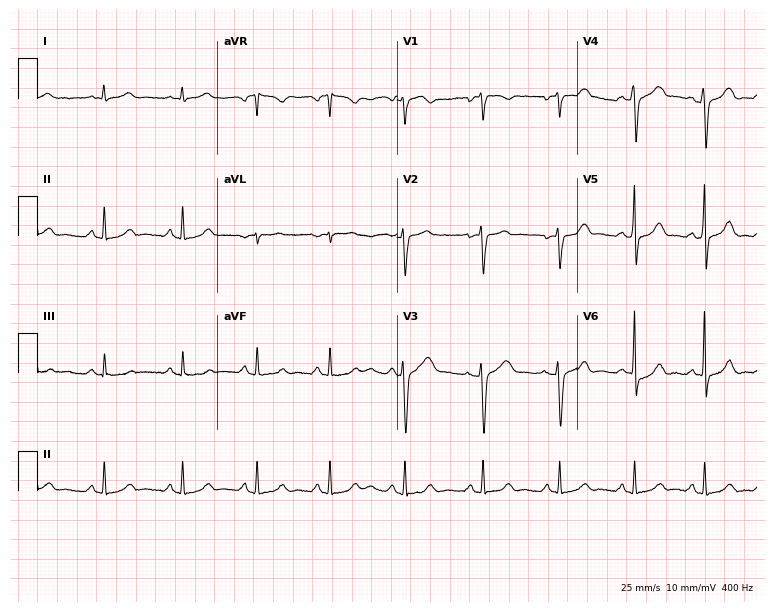
12-lead ECG from a 35-year-old woman. No first-degree AV block, right bundle branch block, left bundle branch block, sinus bradycardia, atrial fibrillation or sinus tachycardia recorded for this tracing. Only these six findings were labelled.